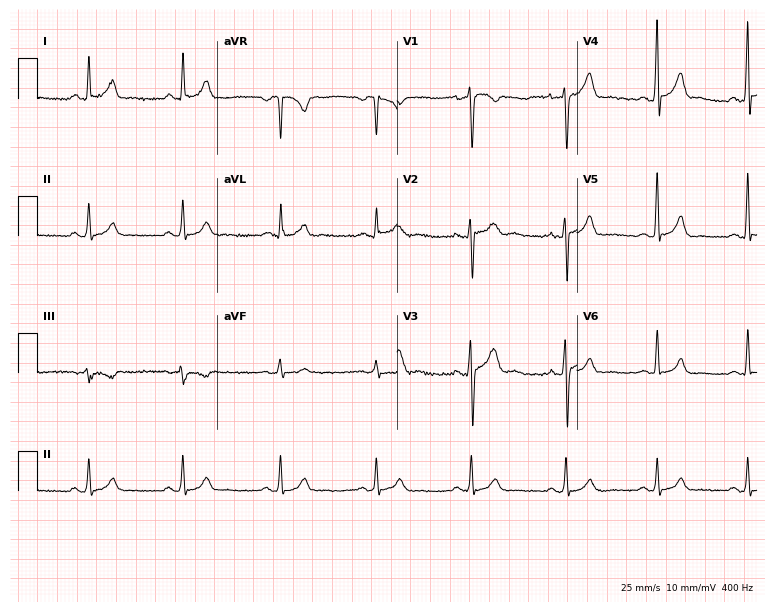
Standard 12-lead ECG recorded from a male, 26 years old. None of these six findings is recorded: first-degree AV block, right bundle branch block (RBBB), left bundle branch block (LBBB), sinus bradycardia, atrial fibrillation (AF), sinus tachycardia. Only these six findings were labelled.